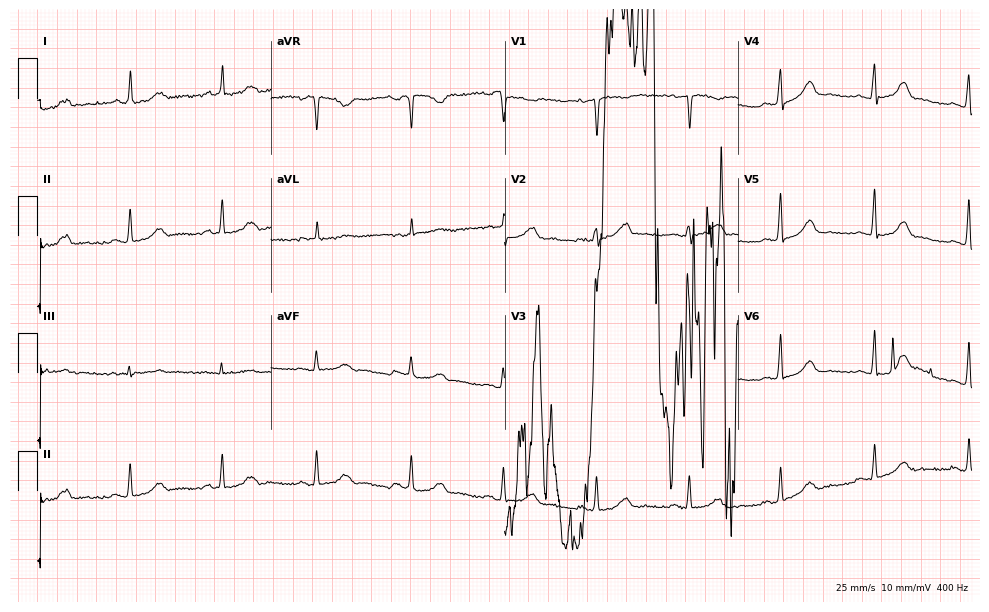
Resting 12-lead electrocardiogram. Patient: a female, 48 years old. None of these six findings is recorded: first-degree AV block, right bundle branch block (RBBB), left bundle branch block (LBBB), sinus bradycardia, atrial fibrillation (AF), sinus tachycardia.